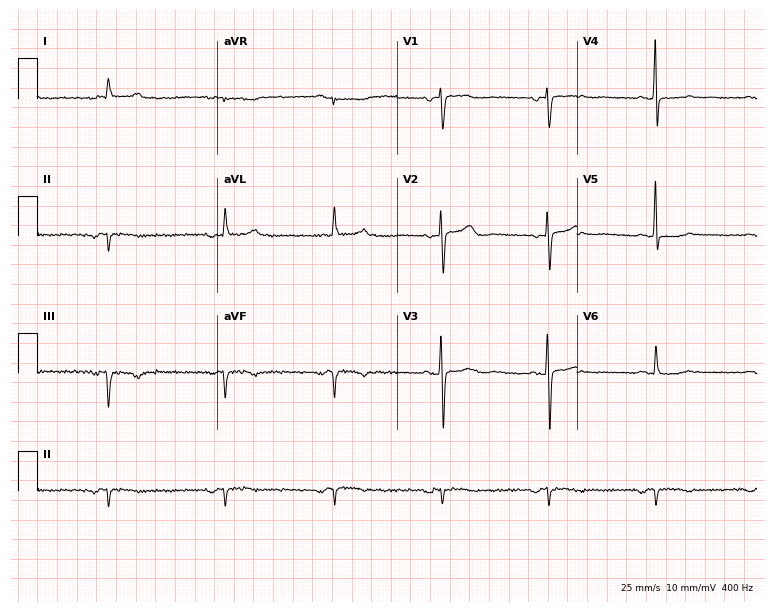
12-lead ECG from a female, 70 years old. No first-degree AV block, right bundle branch block, left bundle branch block, sinus bradycardia, atrial fibrillation or sinus tachycardia recorded for this tracing. Findings outside these six are not listed.